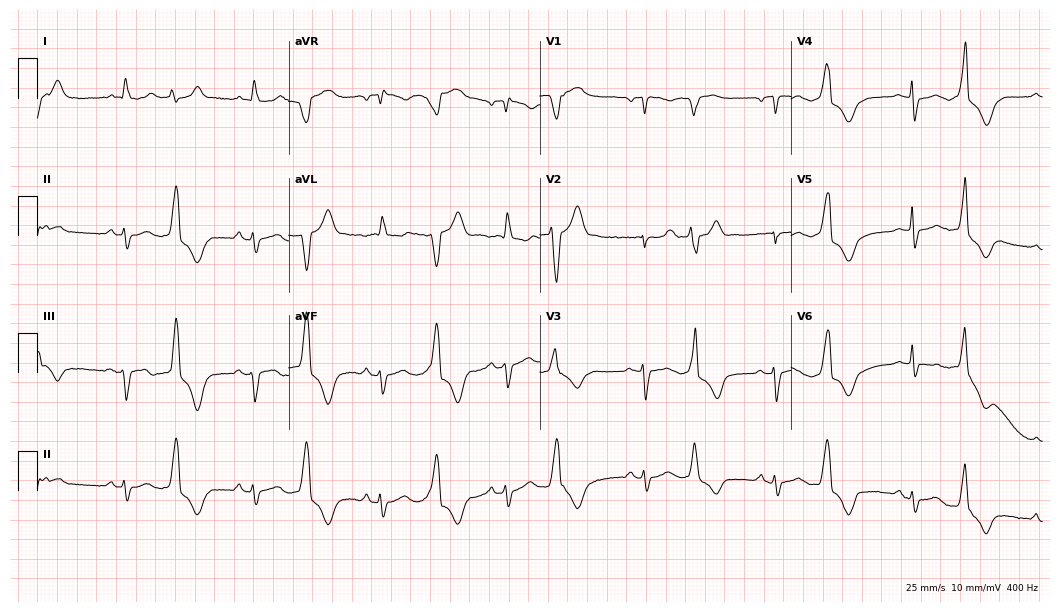
Electrocardiogram (10.2-second recording at 400 Hz), a female, 81 years old. Of the six screened findings (first-degree AV block, right bundle branch block, left bundle branch block, sinus bradycardia, atrial fibrillation, sinus tachycardia), none is recorded.